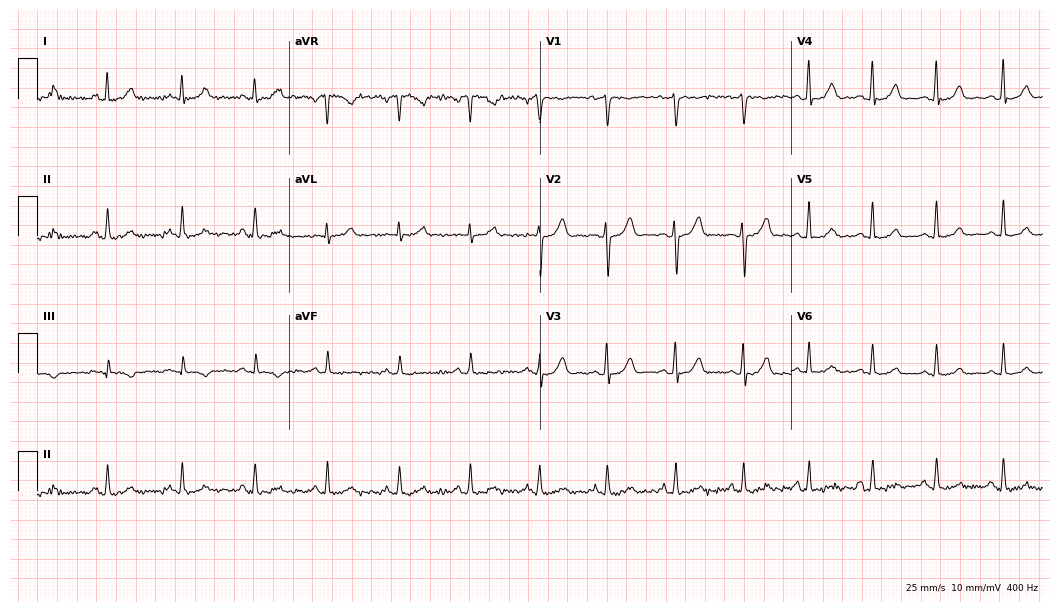
Standard 12-lead ECG recorded from a 52-year-old female patient. None of these six findings is recorded: first-degree AV block, right bundle branch block, left bundle branch block, sinus bradycardia, atrial fibrillation, sinus tachycardia. Other findings, if any, are not listed.